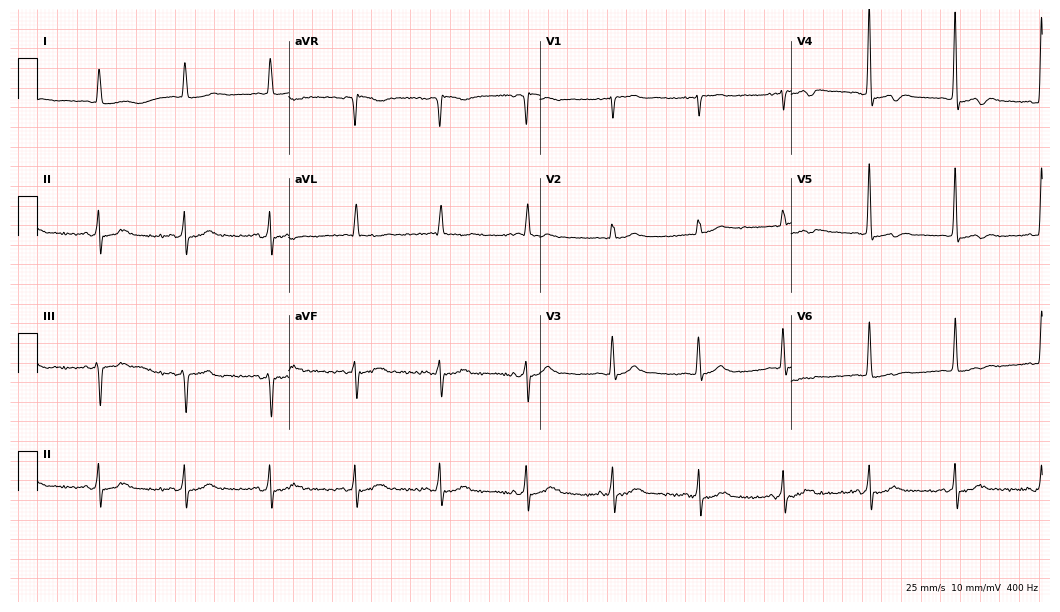
Electrocardiogram, a woman, 84 years old. Of the six screened findings (first-degree AV block, right bundle branch block (RBBB), left bundle branch block (LBBB), sinus bradycardia, atrial fibrillation (AF), sinus tachycardia), none is recorded. Findings outside these six are not listed.